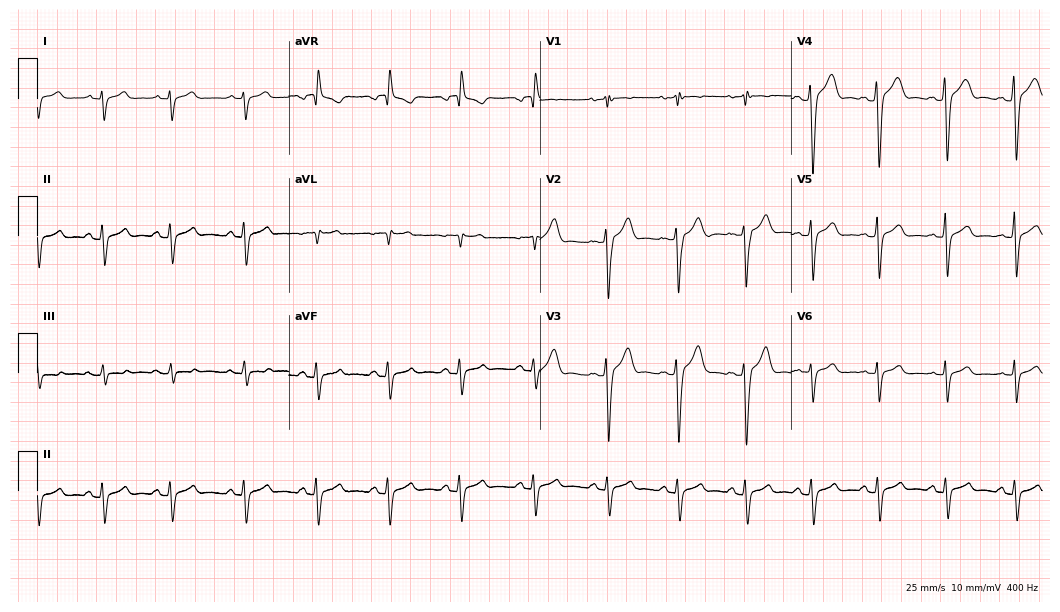
Standard 12-lead ECG recorded from a male patient, 22 years old. None of these six findings is recorded: first-degree AV block, right bundle branch block, left bundle branch block, sinus bradycardia, atrial fibrillation, sinus tachycardia. Other findings, if any, are not listed.